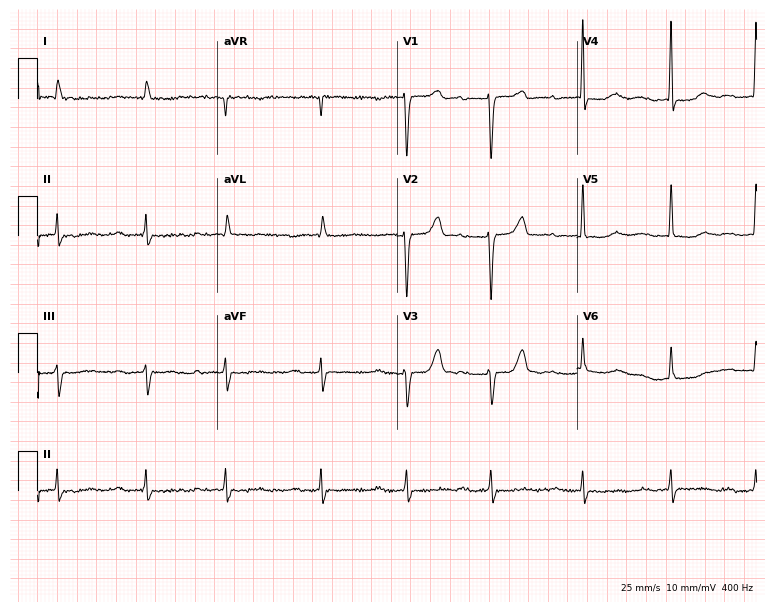
Resting 12-lead electrocardiogram (7.3-second recording at 400 Hz). Patient: a woman, 81 years old. The tracing shows first-degree AV block.